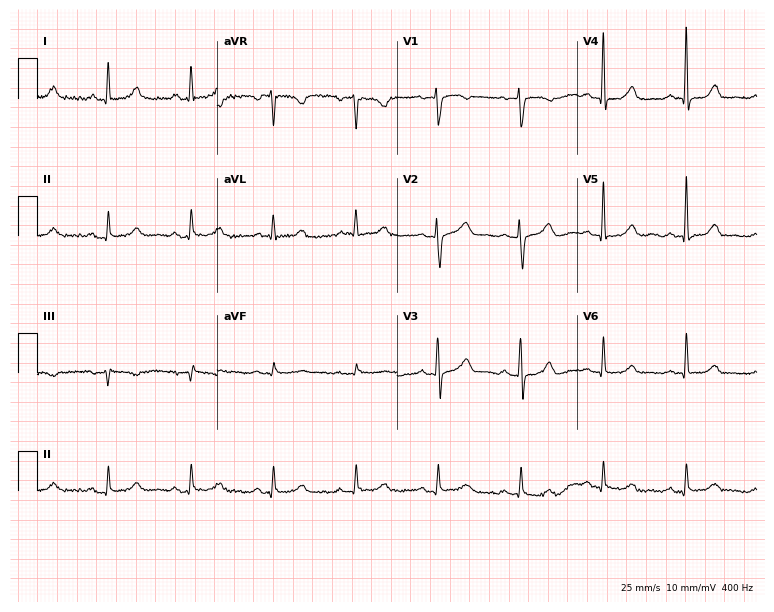
12-lead ECG from a 63-year-old woman (7.3-second recording at 400 Hz). Recorded interpretation: within normal limits.